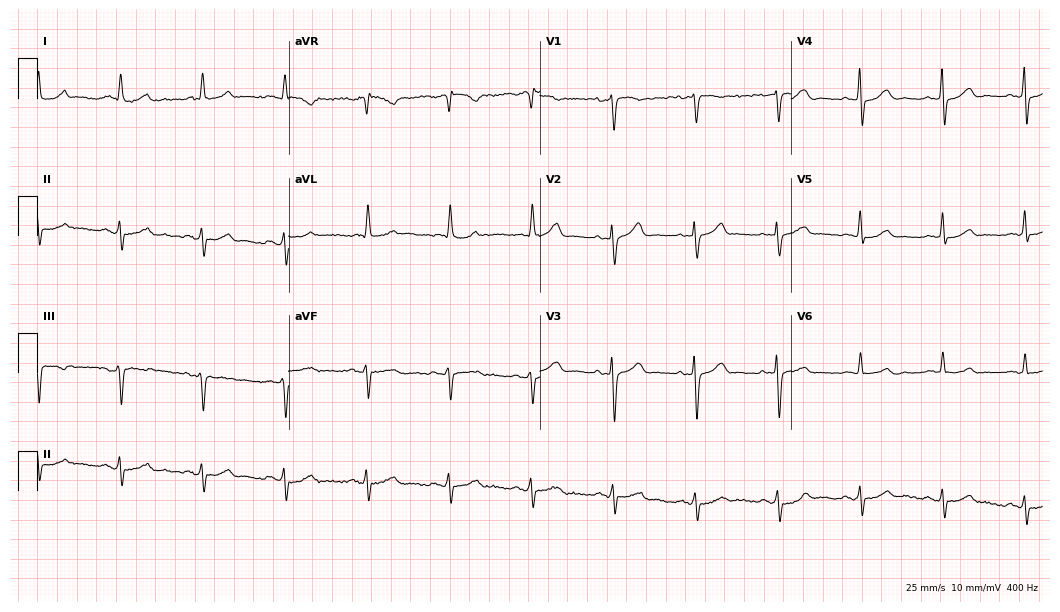
12-lead ECG from an 82-year-old female patient (10.2-second recording at 400 Hz). No first-degree AV block, right bundle branch block, left bundle branch block, sinus bradycardia, atrial fibrillation or sinus tachycardia recorded for this tracing. Other findings, if any, are not listed.